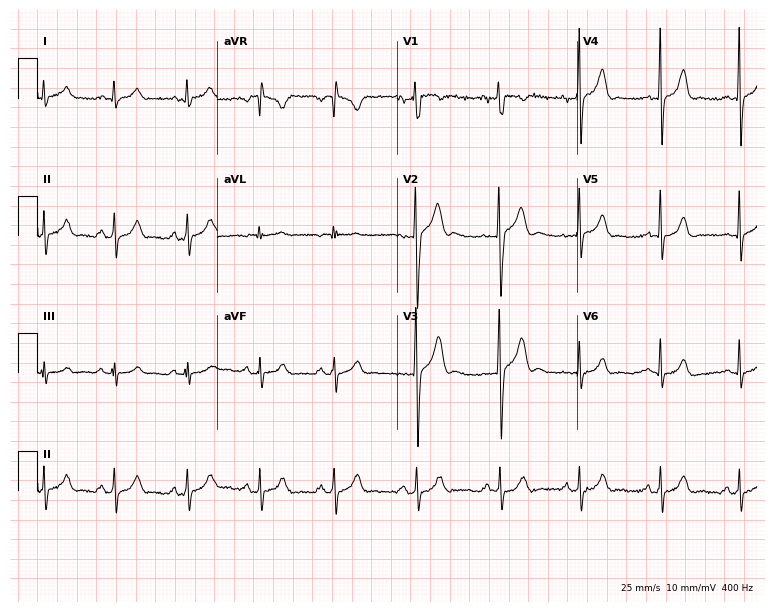
Electrocardiogram (7.3-second recording at 400 Hz), a male, 31 years old. Of the six screened findings (first-degree AV block, right bundle branch block (RBBB), left bundle branch block (LBBB), sinus bradycardia, atrial fibrillation (AF), sinus tachycardia), none is recorded. Only these six findings were labelled.